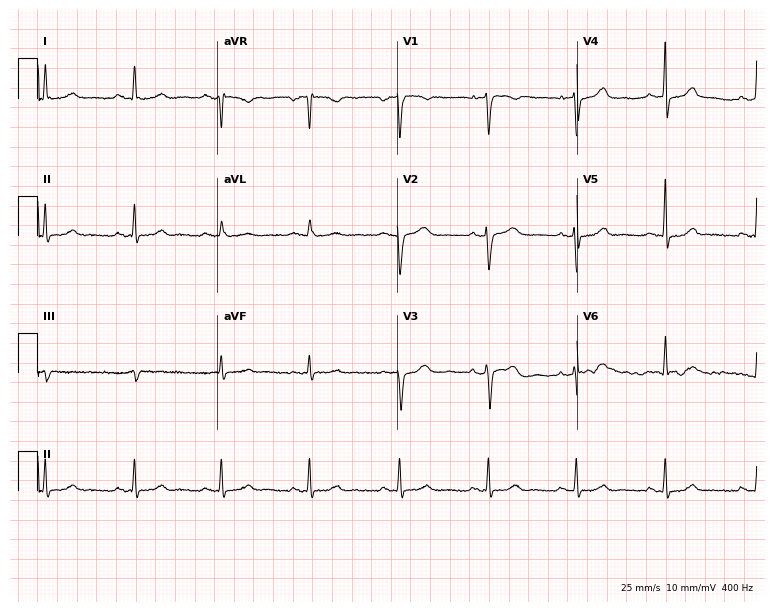
Resting 12-lead electrocardiogram. Patient: a 69-year-old female. None of these six findings is recorded: first-degree AV block, right bundle branch block (RBBB), left bundle branch block (LBBB), sinus bradycardia, atrial fibrillation (AF), sinus tachycardia. Only these six findings were labelled.